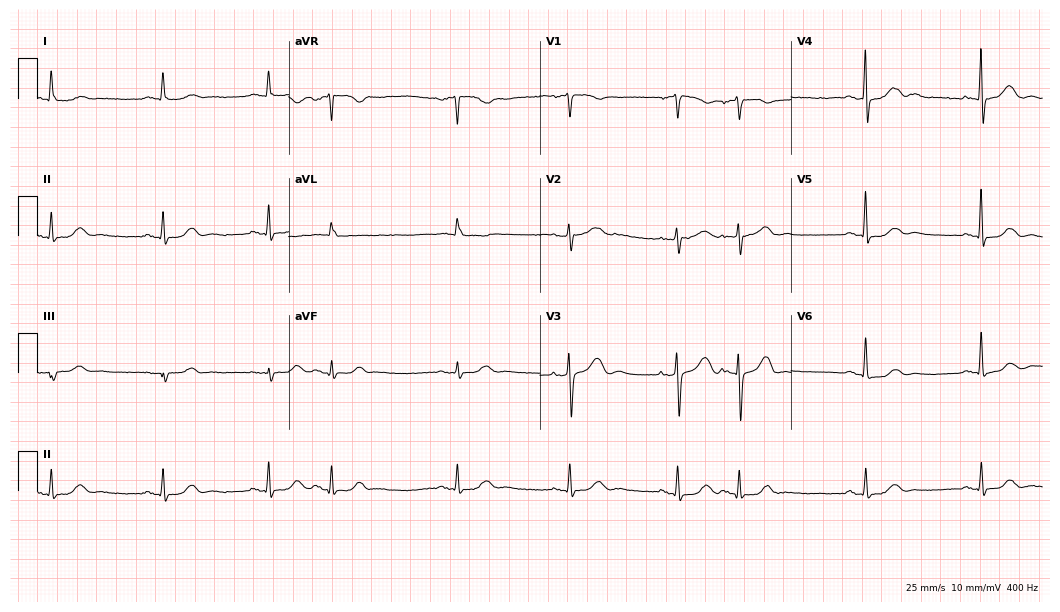
12-lead ECG (10.2-second recording at 400 Hz) from a woman, 84 years old. Screened for six findings — first-degree AV block, right bundle branch block, left bundle branch block, sinus bradycardia, atrial fibrillation, sinus tachycardia — none is recorded. Only these six findings were labelled.